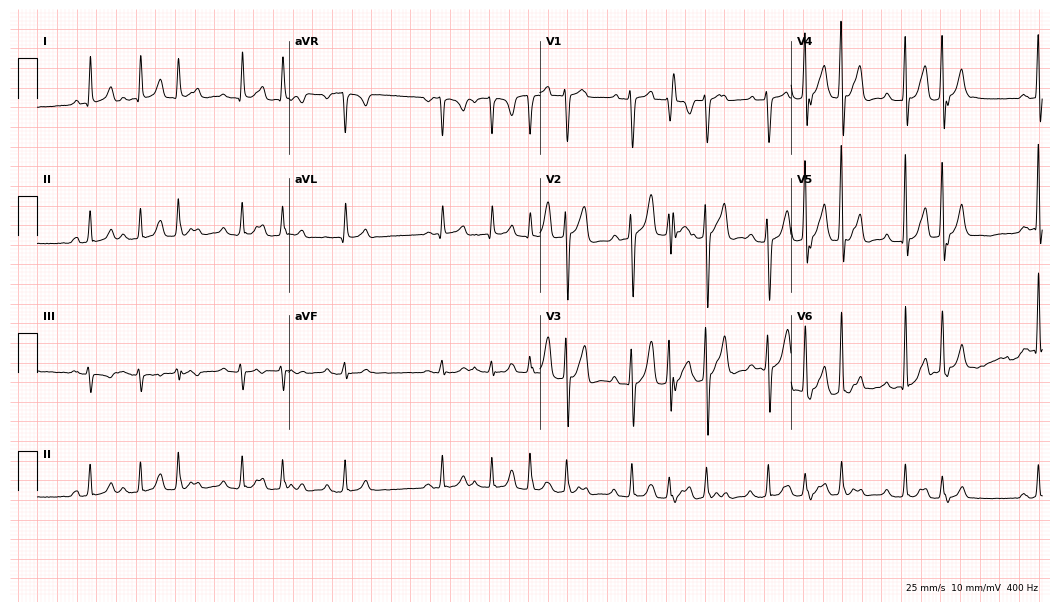
ECG (10.2-second recording at 400 Hz) — a 59-year-old man. Screened for six findings — first-degree AV block, right bundle branch block (RBBB), left bundle branch block (LBBB), sinus bradycardia, atrial fibrillation (AF), sinus tachycardia — none is recorded.